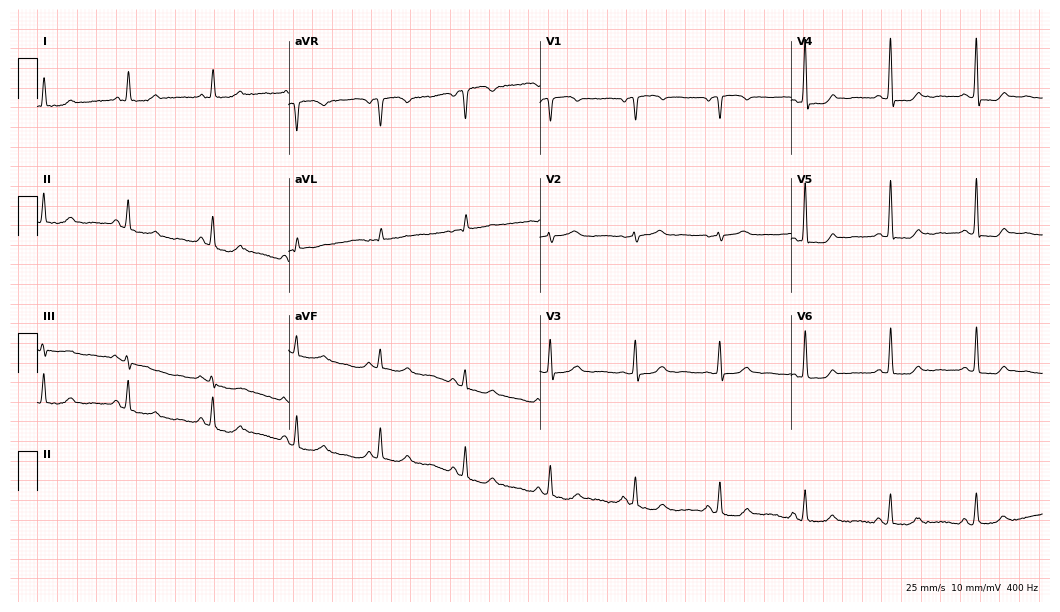
Standard 12-lead ECG recorded from a female, 65 years old (10.2-second recording at 400 Hz). Read as a normal ECG.